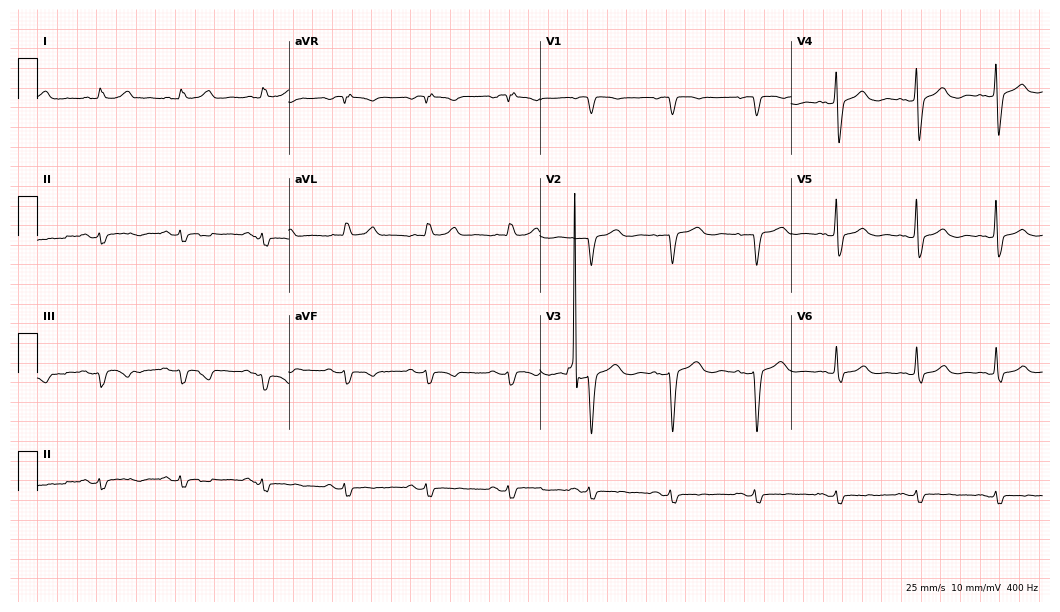
12-lead ECG (10.2-second recording at 400 Hz) from a 58-year-old woman. Screened for six findings — first-degree AV block, right bundle branch block, left bundle branch block, sinus bradycardia, atrial fibrillation, sinus tachycardia — none is recorded.